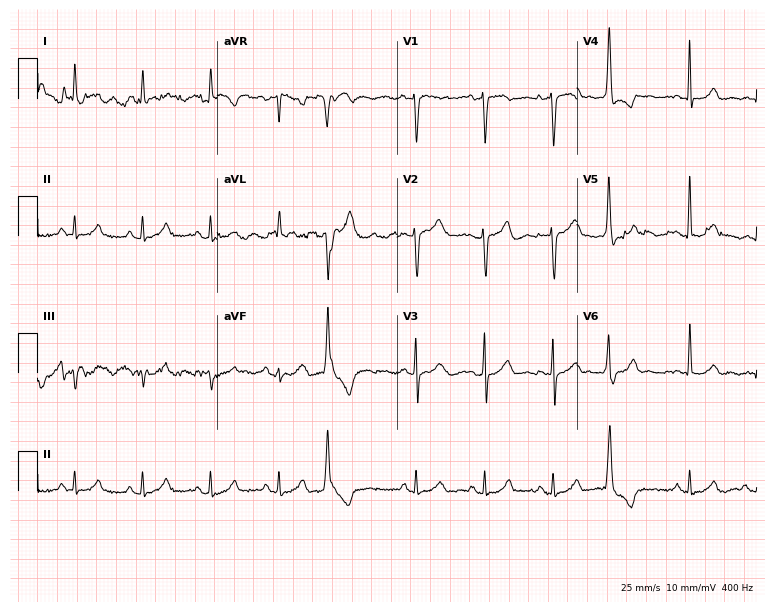
12-lead ECG from an 81-year-old female (7.3-second recording at 400 Hz). No first-degree AV block, right bundle branch block (RBBB), left bundle branch block (LBBB), sinus bradycardia, atrial fibrillation (AF) or sinus tachycardia recorded for this tracing.